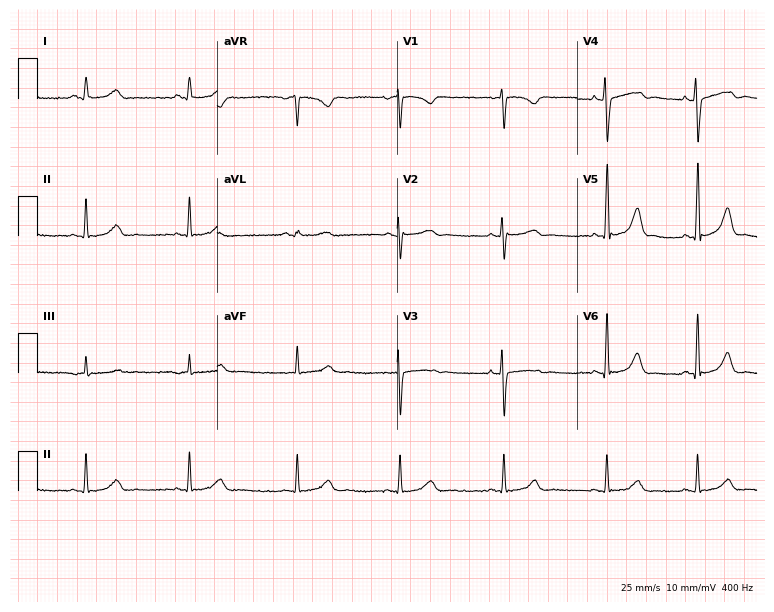
Standard 12-lead ECG recorded from a 32-year-old female patient (7.3-second recording at 400 Hz). Read as a normal ECG.